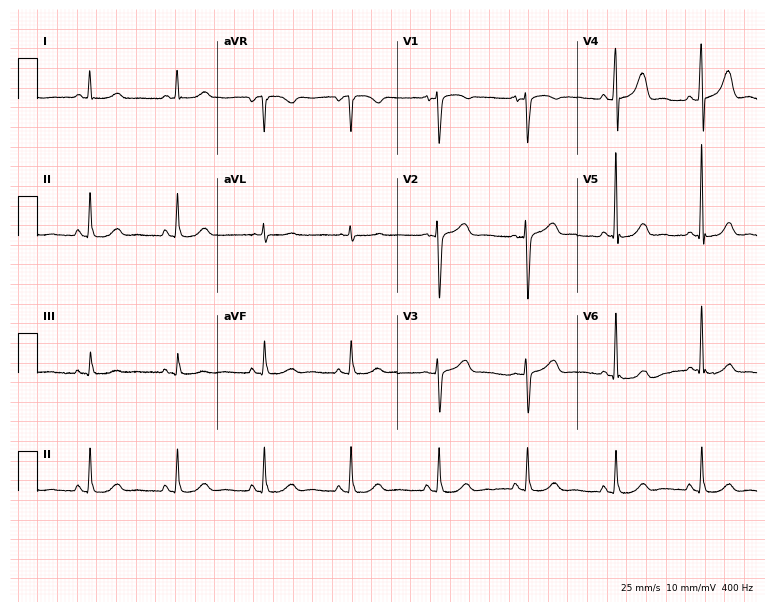
12-lead ECG from a female, 58 years old. No first-degree AV block, right bundle branch block, left bundle branch block, sinus bradycardia, atrial fibrillation or sinus tachycardia recorded for this tracing.